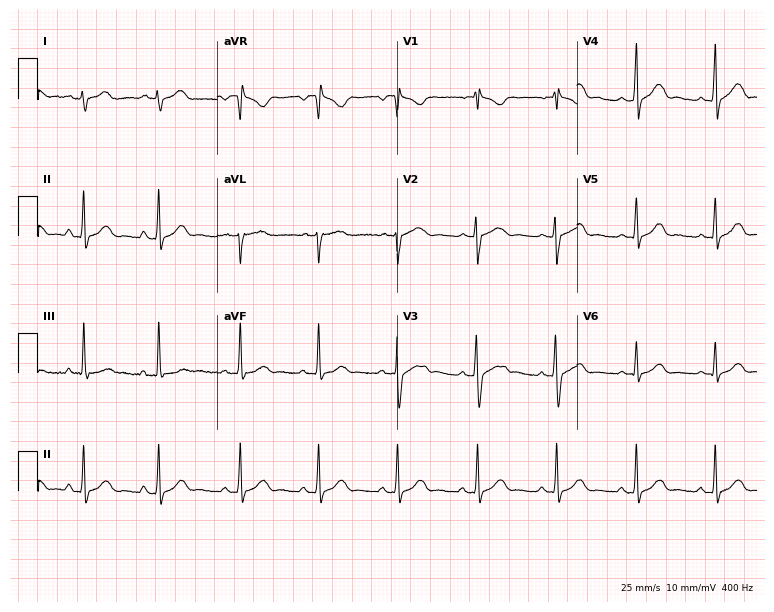
Resting 12-lead electrocardiogram (7.3-second recording at 400 Hz). Patient: a 21-year-old female. None of these six findings is recorded: first-degree AV block, right bundle branch block, left bundle branch block, sinus bradycardia, atrial fibrillation, sinus tachycardia. Other findings, if any, are not listed.